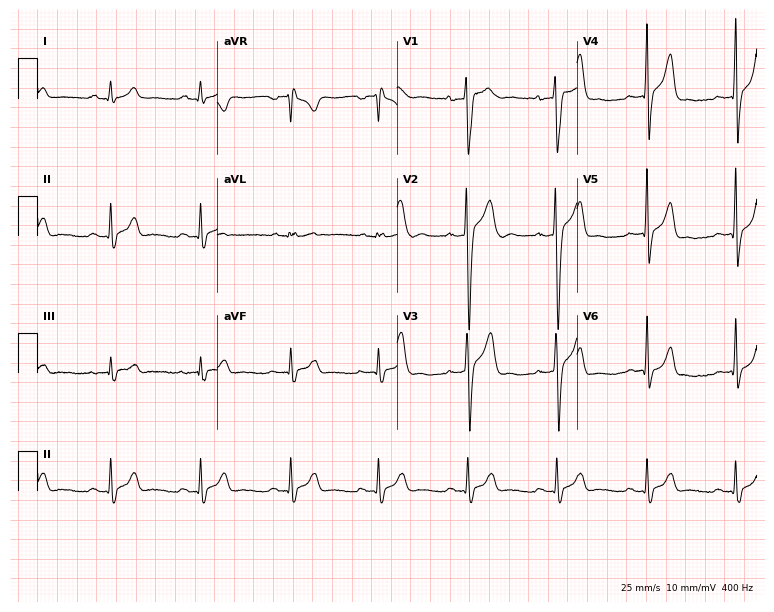
Resting 12-lead electrocardiogram. Patient: a male, 21 years old. Read as a normal ECG.